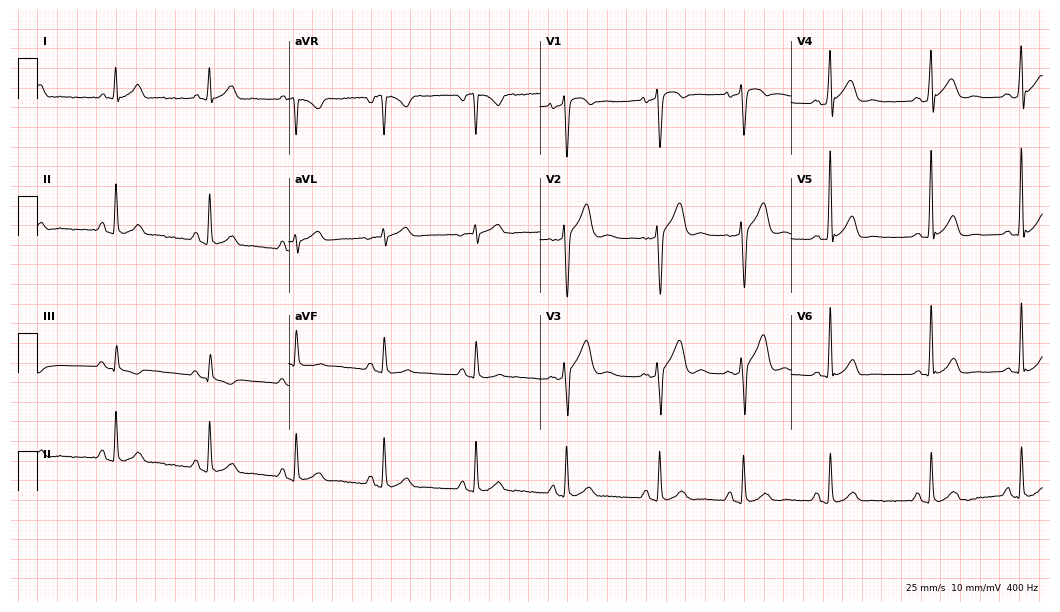
ECG — a man, 29 years old. Labelled as a normal ECG.